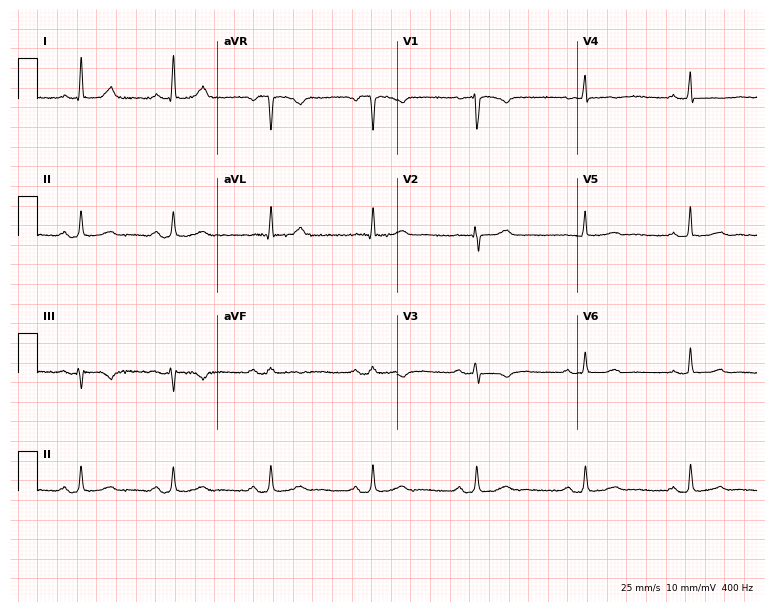
Resting 12-lead electrocardiogram (7.3-second recording at 400 Hz). Patient: a female, 67 years old. None of these six findings is recorded: first-degree AV block, right bundle branch block, left bundle branch block, sinus bradycardia, atrial fibrillation, sinus tachycardia. Only these six findings were labelled.